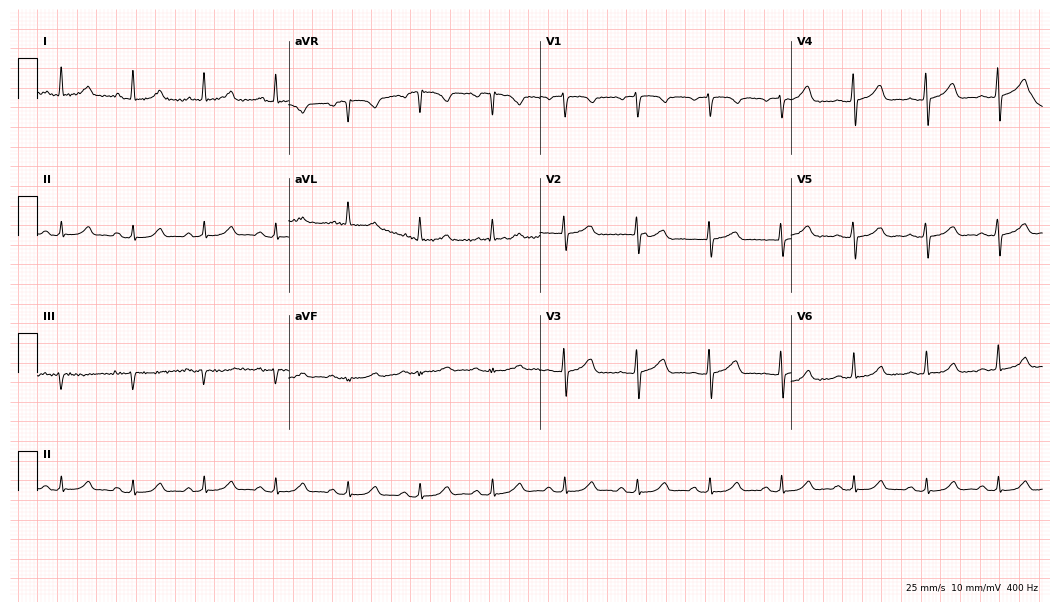
Standard 12-lead ECG recorded from a 60-year-old woman (10.2-second recording at 400 Hz). Read as a normal ECG.